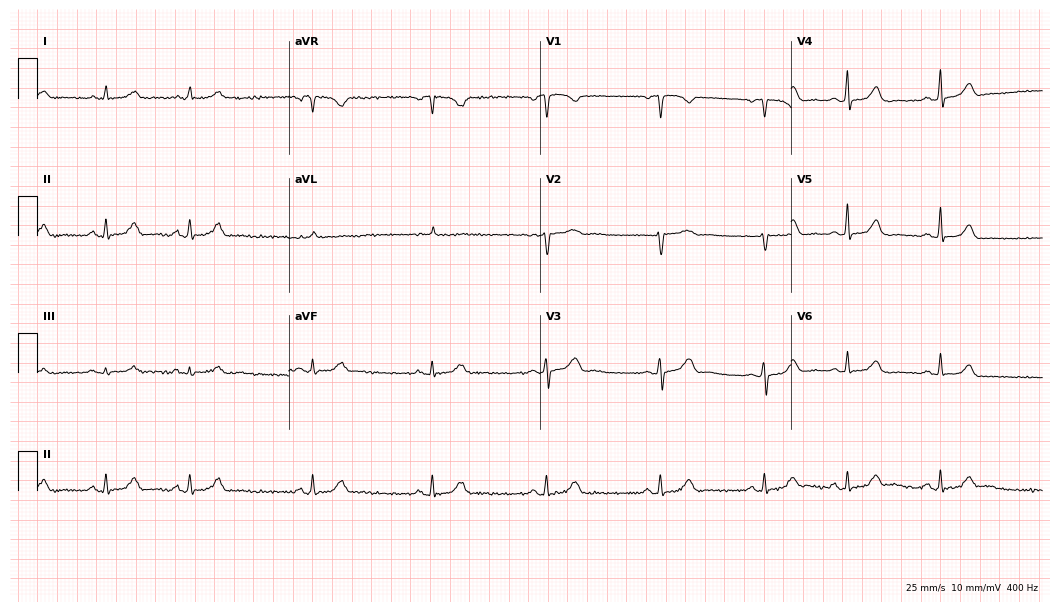
Electrocardiogram, a 34-year-old woman. Of the six screened findings (first-degree AV block, right bundle branch block (RBBB), left bundle branch block (LBBB), sinus bradycardia, atrial fibrillation (AF), sinus tachycardia), none is recorded.